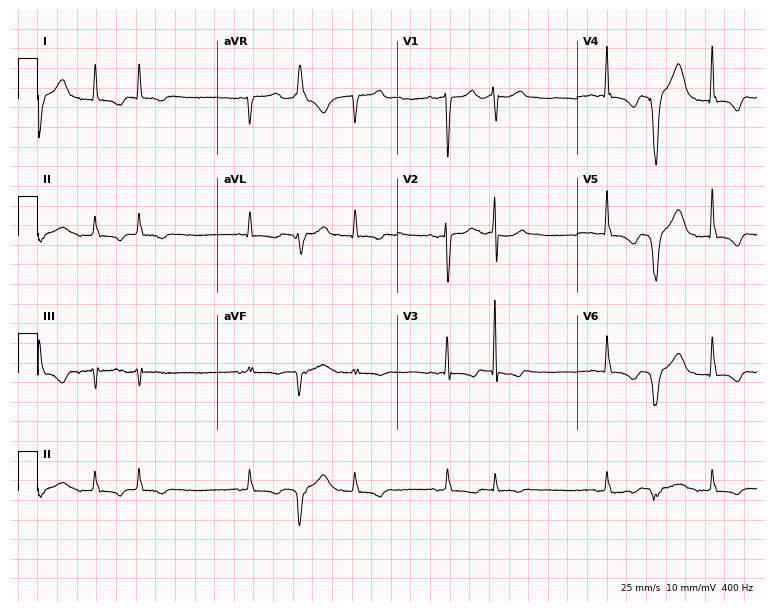
12-lead ECG from a 71-year-old female patient (7.3-second recording at 400 Hz). No first-degree AV block, right bundle branch block (RBBB), left bundle branch block (LBBB), sinus bradycardia, atrial fibrillation (AF) or sinus tachycardia recorded for this tracing. Only these six findings were labelled.